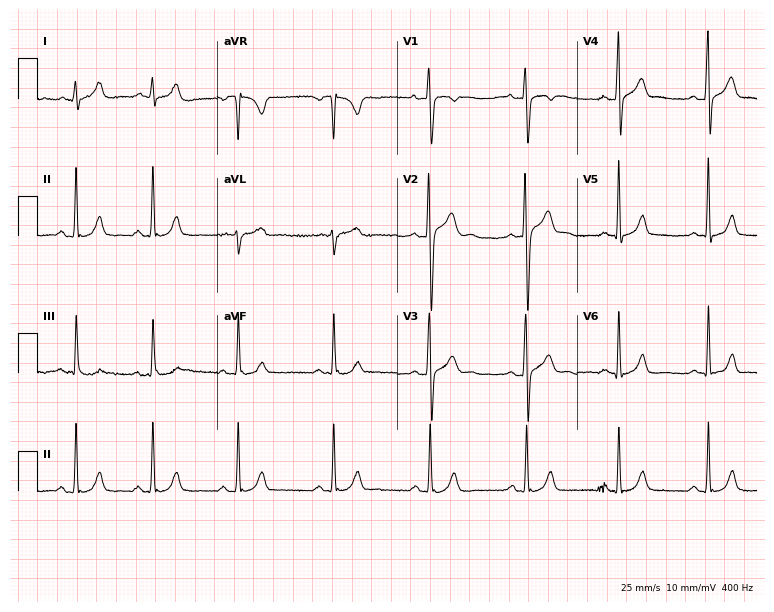
Standard 12-lead ECG recorded from a 36-year-old male patient. None of these six findings is recorded: first-degree AV block, right bundle branch block (RBBB), left bundle branch block (LBBB), sinus bradycardia, atrial fibrillation (AF), sinus tachycardia.